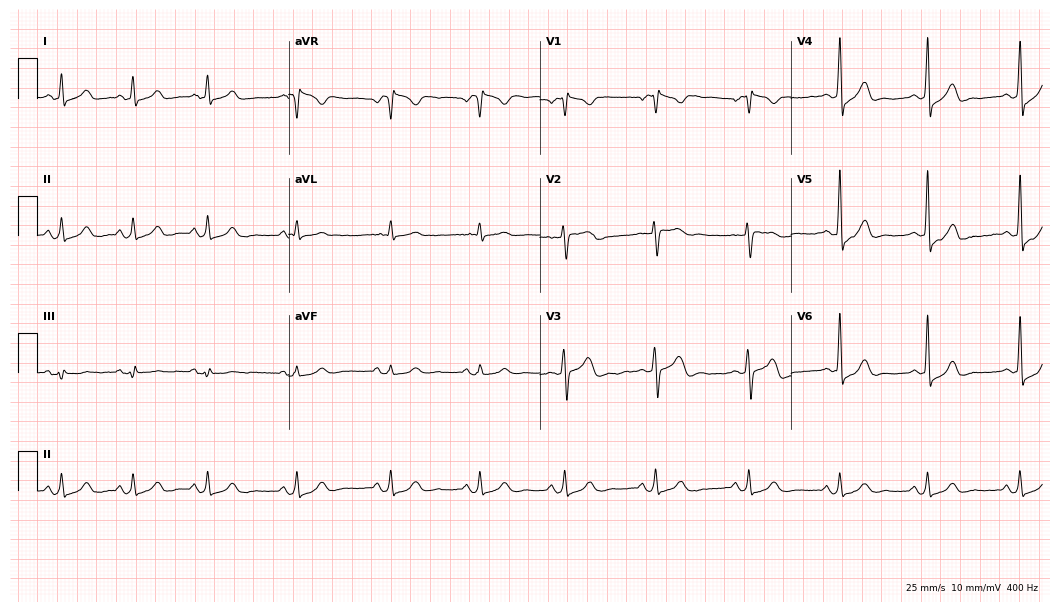
12-lead ECG from a woman, 35 years old (10.2-second recording at 400 Hz). Recorded interpretation: within normal limits.